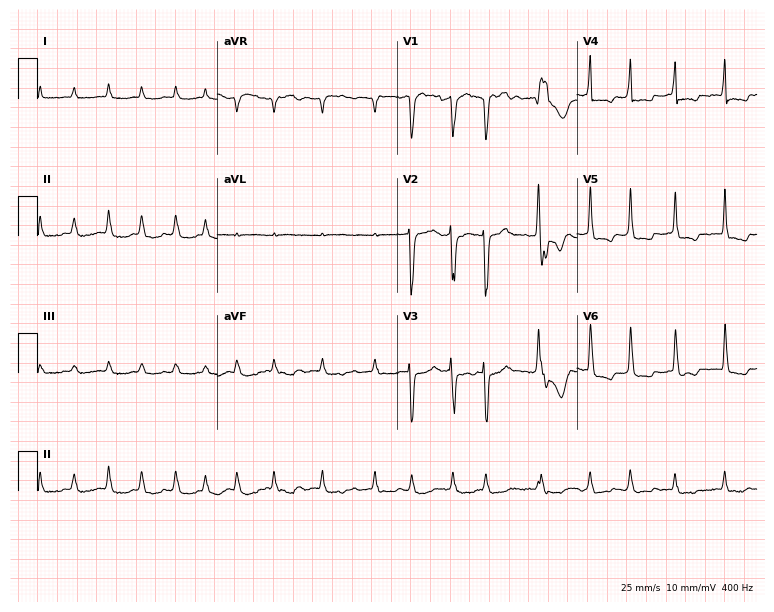
ECG — a 67-year-old woman. Findings include atrial fibrillation.